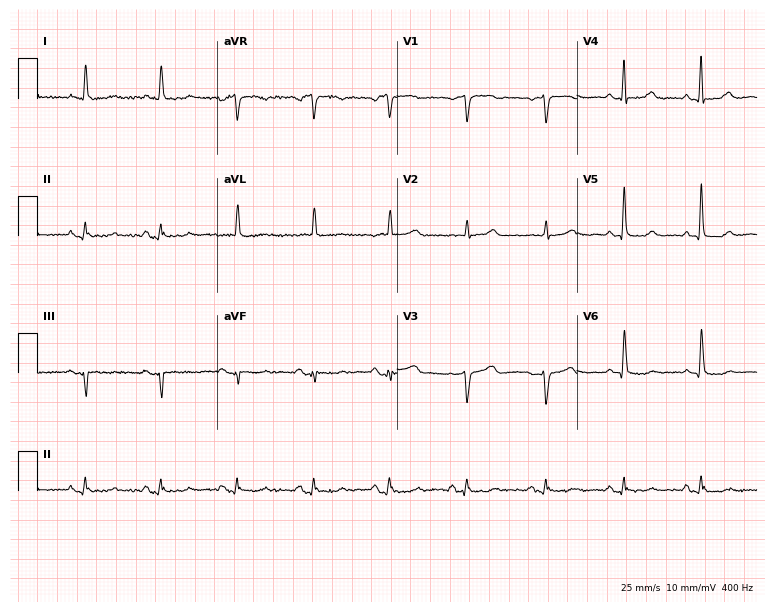
12-lead ECG from a female, 80 years old (7.3-second recording at 400 Hz). Recorded interpretation: within normal limits.